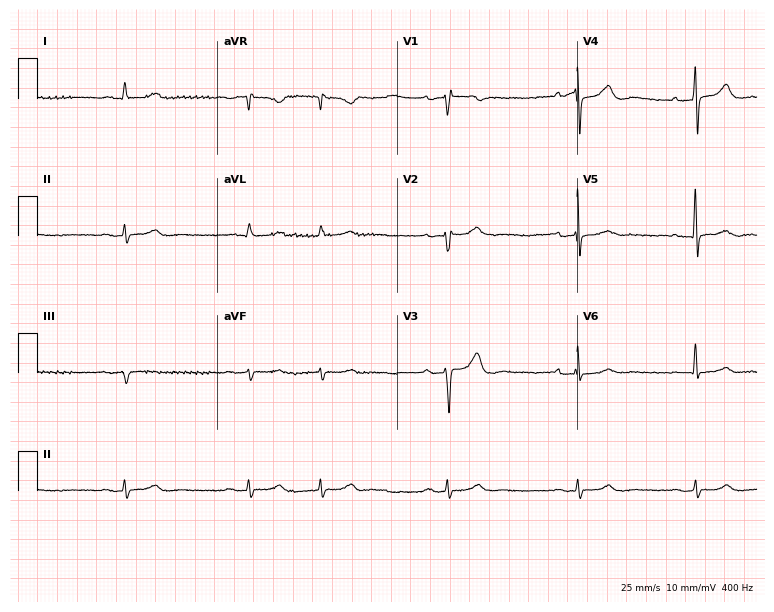
12-lead ECG from a male patient, 81 years old. Findings include first-degree AV block.